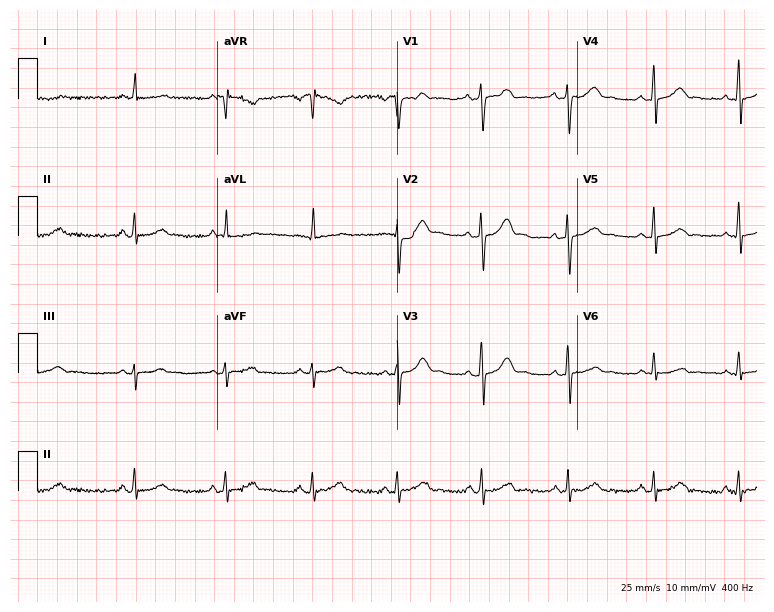
12-lead ECG (7.3-second recording at 400 Hz) from a woman, 40 years old. Screened for six findings — first-degree AV block, right bundle branch block (RBBB), left bundle branch block (LBBB), sinus bradycardia, atrial fibrillation (AF), sinus tachycardia — none is recorded.